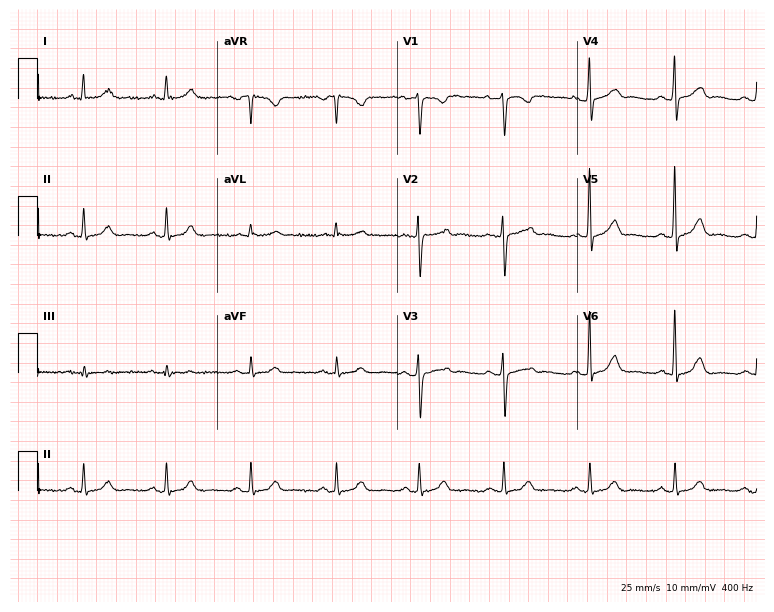
ECG — a 40-year-old female patient. Labelled as a normal ECG.